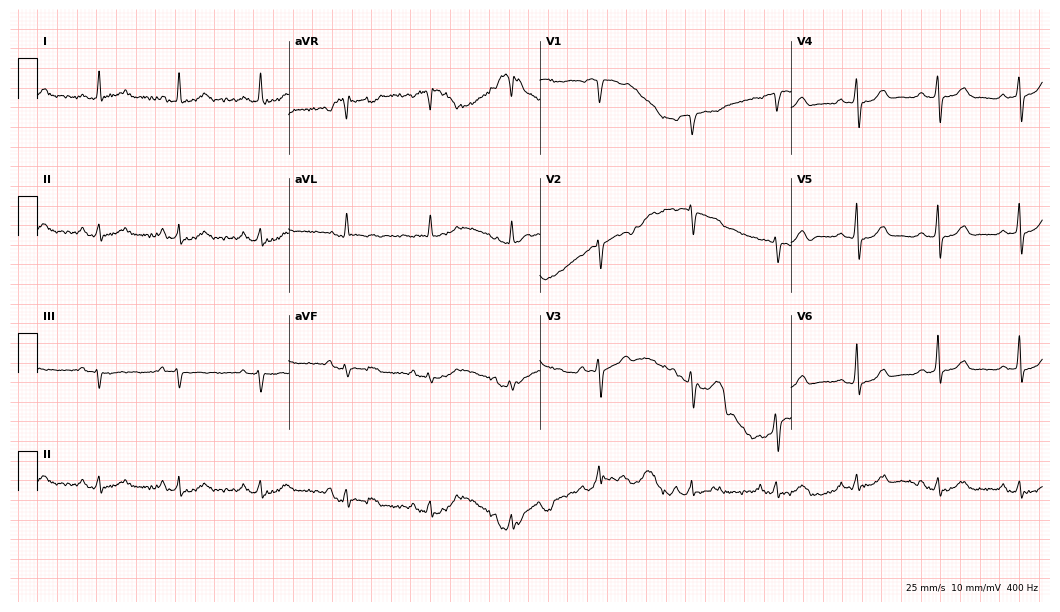
12-lead ECG from a man, 69 years old (10.2-second recording at 400 Hz). Recorded interpretation: within normal limits.